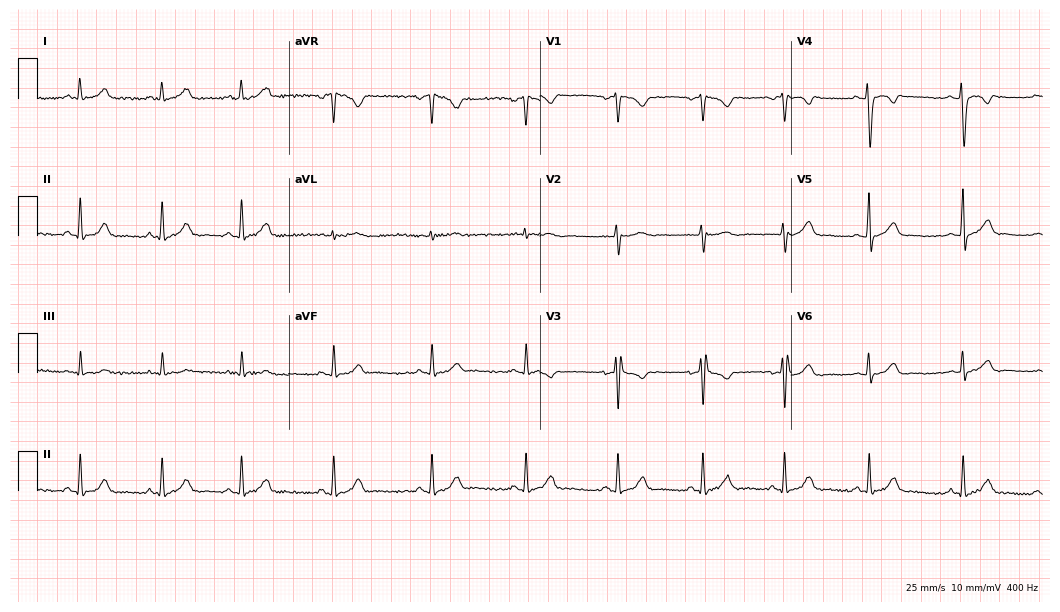
Resting 12-lead electrocardiogram (10.2-second recording at 400 Hz). Patient: a female, 23 years old. Read as a normal ECG.